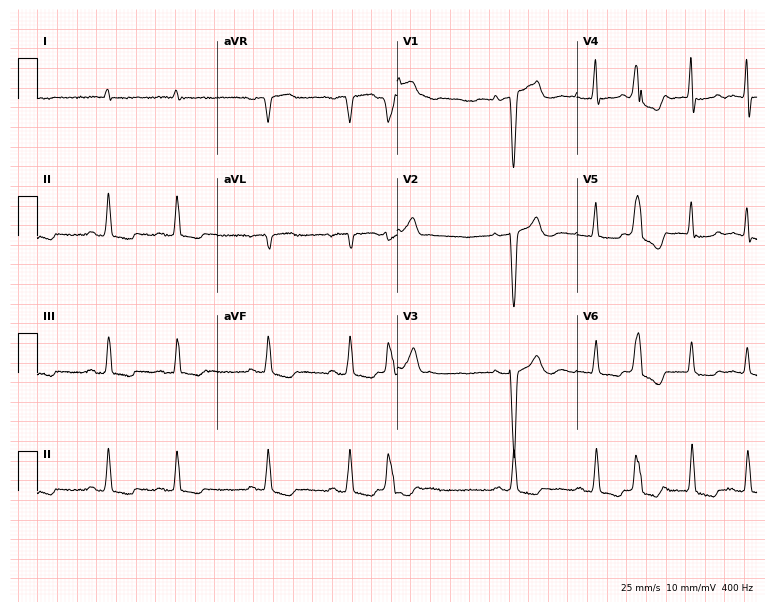
Standard 12-lead ECG recorded from a 79-year-old male (7.3-second recording at 400 Hz). None of these six findings is recorded: first-degree AV block, right bundle branch block (RBBB), left bundle branch block (LBBB), sinus bradycardia, atrial fibrillation (AF), sinus tachycardia. Other findings, if any, are not listed.